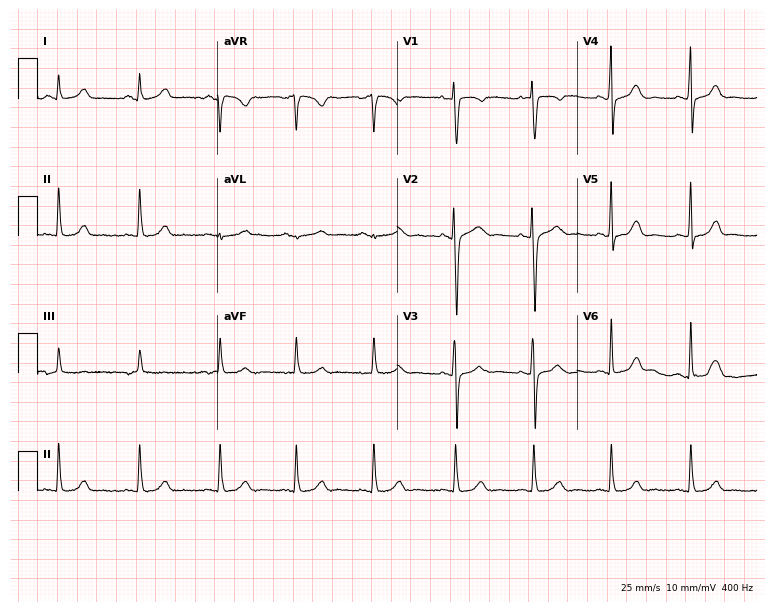
12-lead ECG from a female patient, 29 years old. Labelled as a normal ECG.